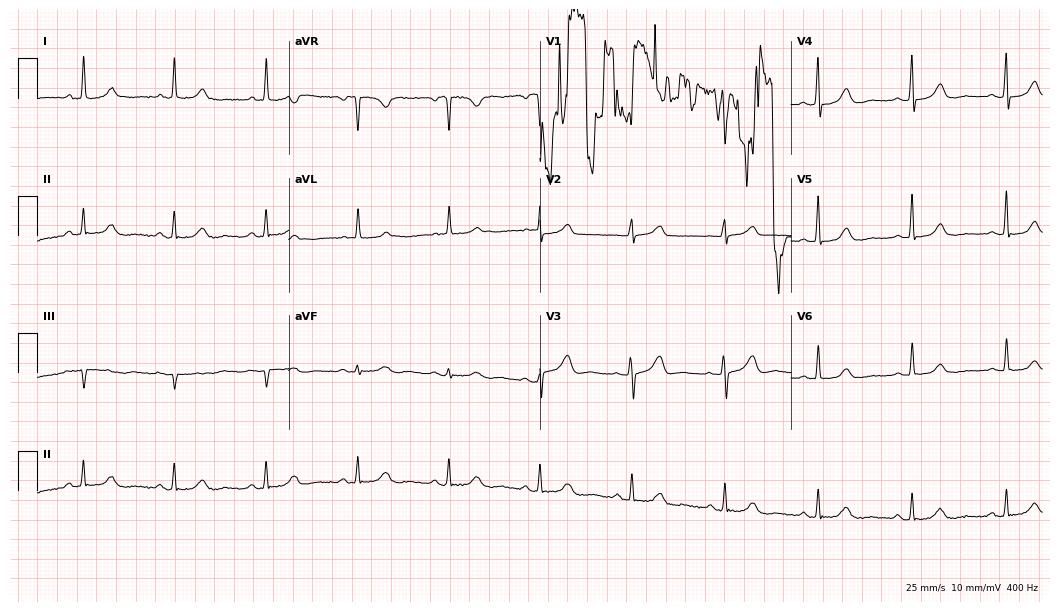
ECG — a female, 71 years old. Labelled as a normal ECG.